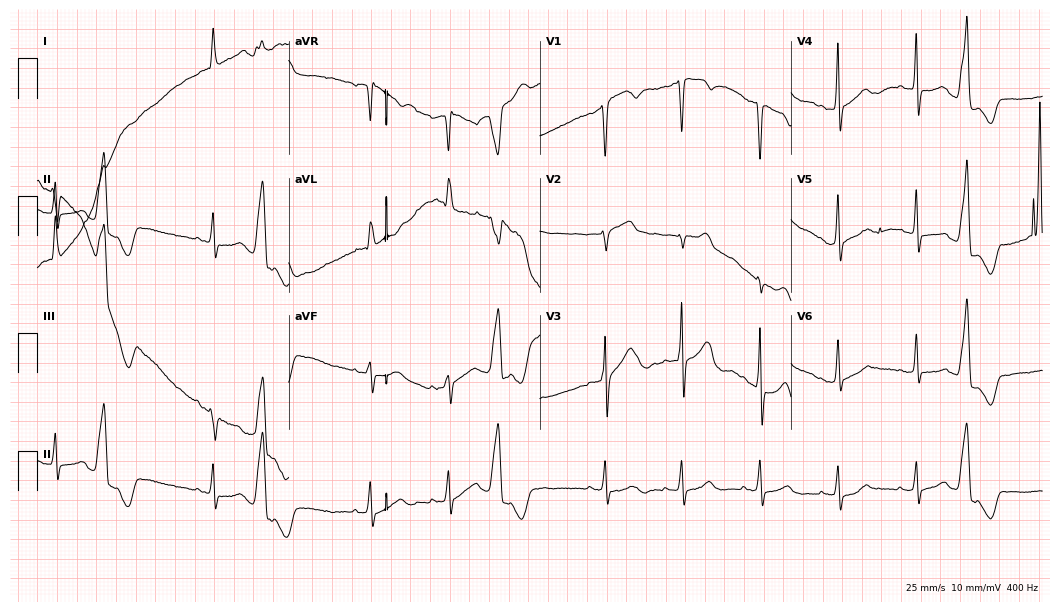
ECG (10.2-second recording at 400 Hz) — an 82-year-old male. Screened for six findings — first-degree AV block, right bundle branch block, left bundle branch block, sinus bradycardia, atrial fibrillation, sinus tachycardia — none is recorded.